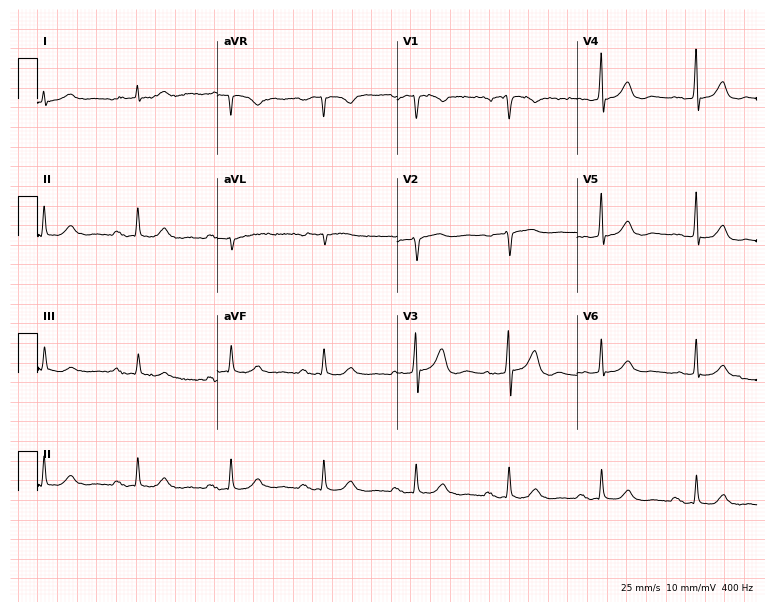
ECG — a male, 68 years old. Screened for six findings — first-degree AV block, right bundle branch block, left bundle branch block, sinus bradycardia, atrial fibrillation, sinus tachycardia — none is recorded.